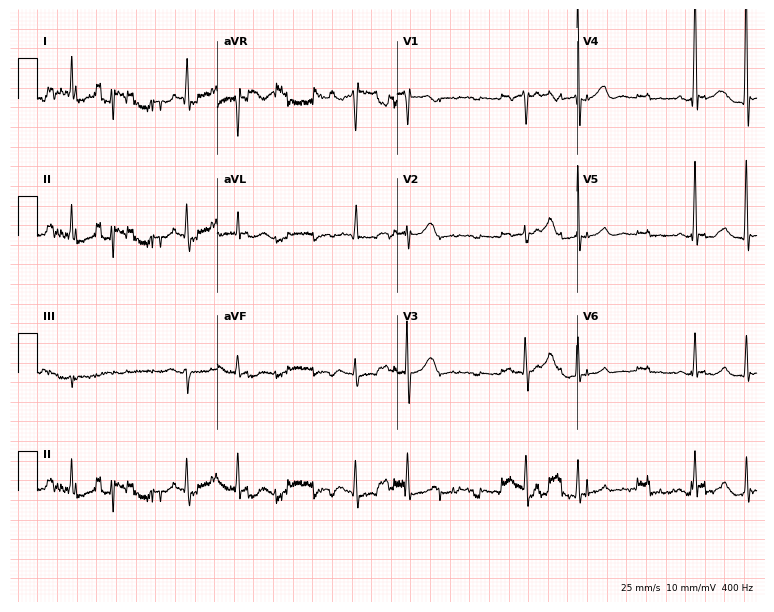
12-lead ECG from a 65-year-old male patient (7.3-second recording at 400 Hz). No first-degree AV block, right bundle branch block, left bundle branch block, sinus bradycardia, atrial fibrillation or sinus tachycardia recorded for this tracing. Only these six findings were labelled.